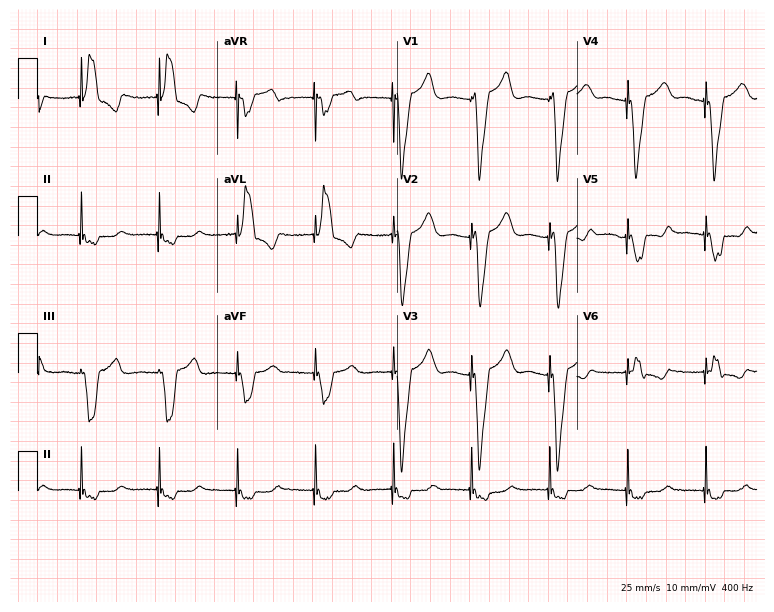
ECG (7.3-second recording at 400 Hz) — a woman, 77 years old. Screened for six findings — first-degree AV block, right bundle branch block (RBBB), left bundle branch block (LBBB), sinus bradycardia, atrial fibrillation (AF), sinus tachycardia — none is recorded. Other findings, if any, are not listed.